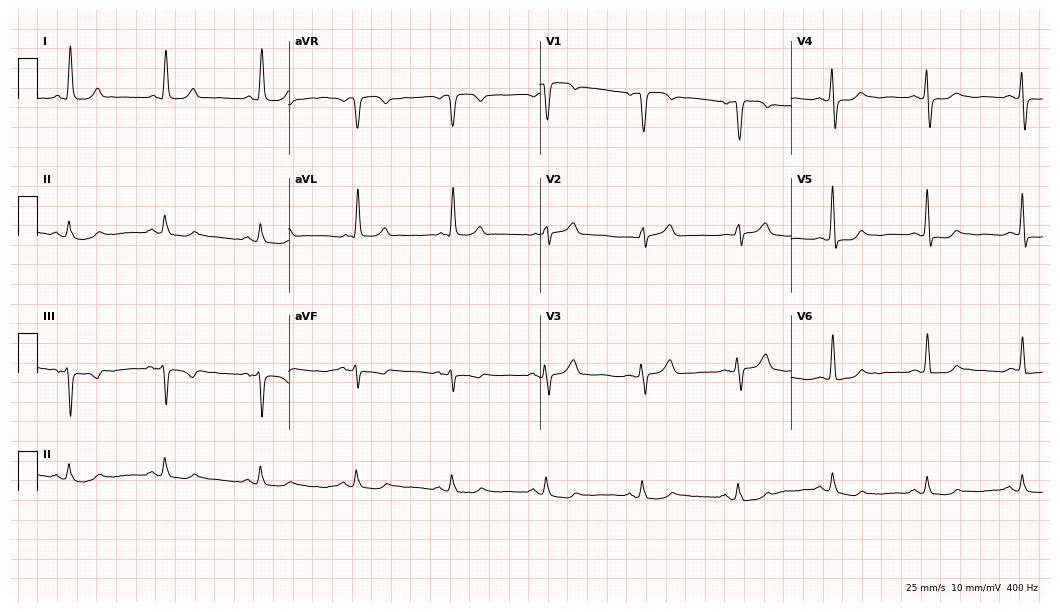
Electrocardiogram, a 66-year-old female. Of the six screened findings (first-degree AV block, right bundle branch block (RBBB), left bundle branch block (LBBB), sinus bradycardia, atrial fibrillation (AF), sinus tachycardia), none is recorded. Only these six findings were labelled.